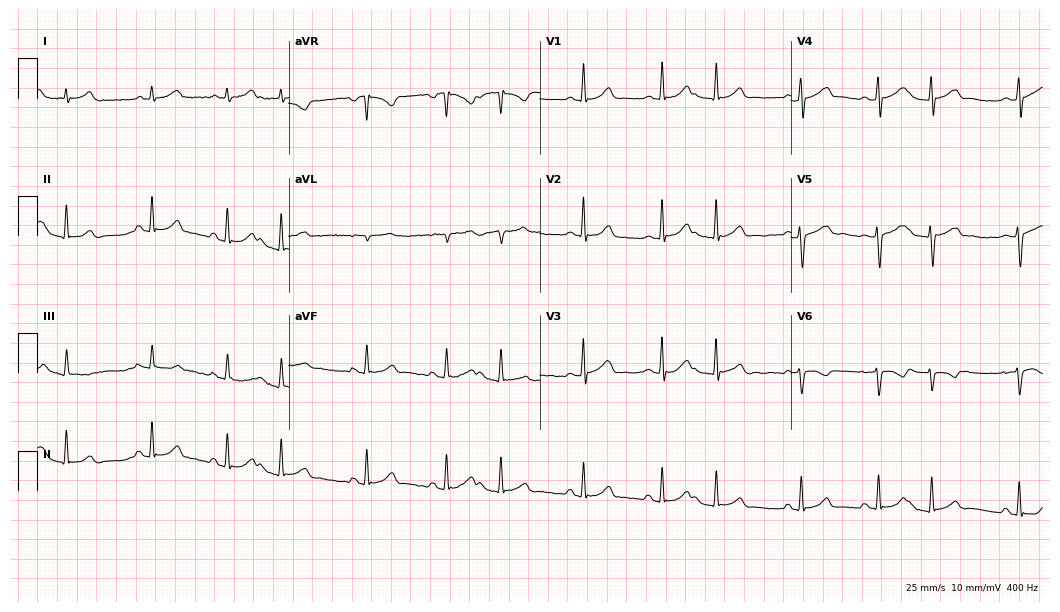
Electrocardiogram (10.2-second recording at 400 Hz), a female, 32 years old. Of the six screened findings (first-degree AV block, right bundle branch block (RBBB), left bundle branch block (LBBB), sinus bradycardia, atrial fibrillation (AF), sinus tachycardia), none is recorded. Only these six findings were labelled.